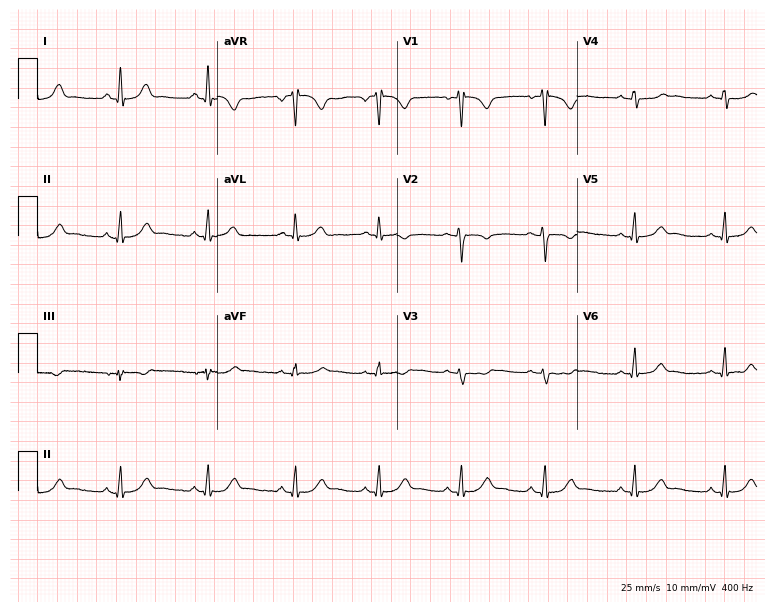
12-lead ECG from a female patient, 40 years old (7.3-second recording at 400 Hz). Recorded interpretation: within normal limits.